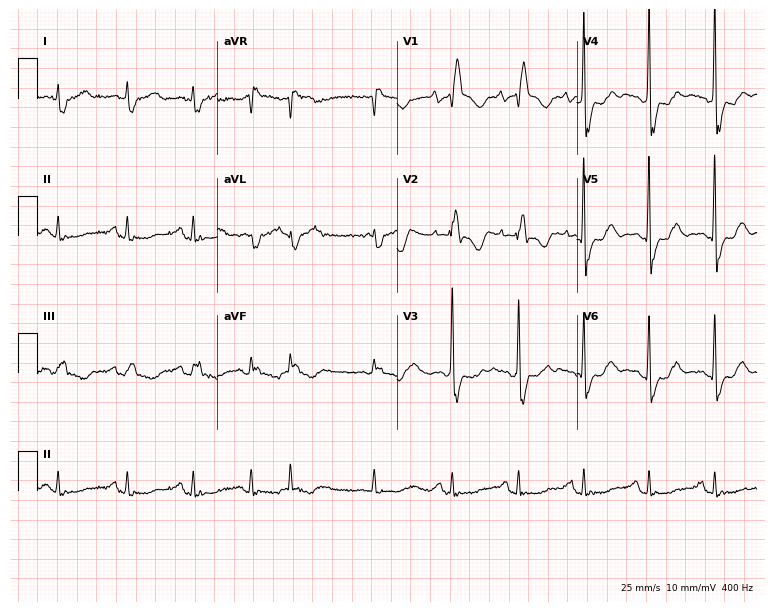
Electrocardiogram (7.3-second recording at 400 Hz), a female patient, 76 years old. Of the six screened findings (first-degree AV block, right bundle branch block, left bundle branch block, sinus bradycardia, atrial fibrillation, sinus tachycardia), none is recorded.